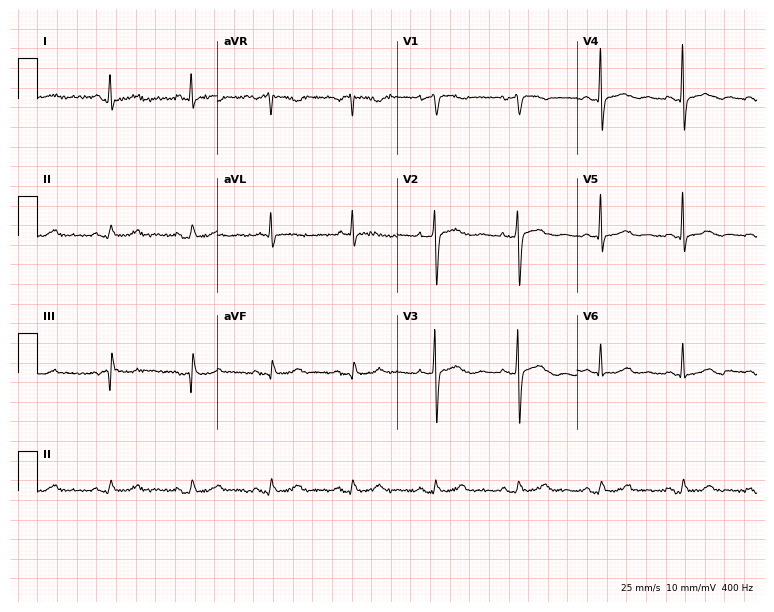
Resting 12-lead electrocardiogram (7.3-second recording at 400 Hz). Patient: a 70-year-old female. Read as a normal ECG.